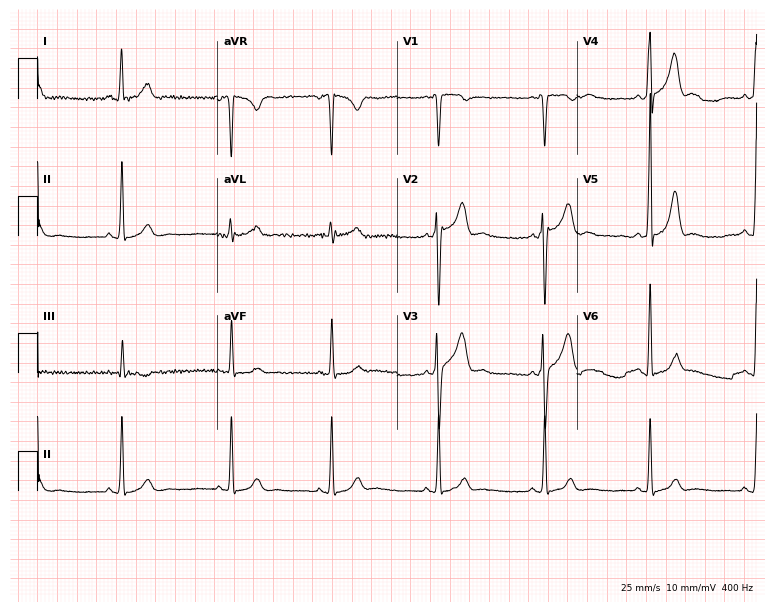
Resting 12-lead electrocardiogram (7.3-second recording at 400 Hz). Patient: a male, 25 years old. None of these six findings is recorded: first-degree AV block, right bundle branch block, left bundle branch block, sinus bradycardia, atrial fibrillation, sinus tachycardia. Other findings, if any, are not listed.